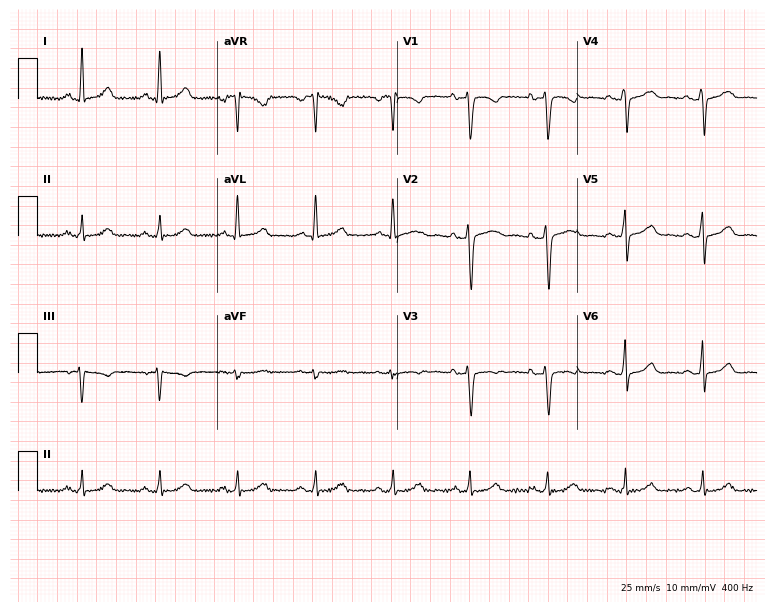
Resting 12-lead electrocardiogram. Patient: a female, 47 years old. Read as a normal ECG.